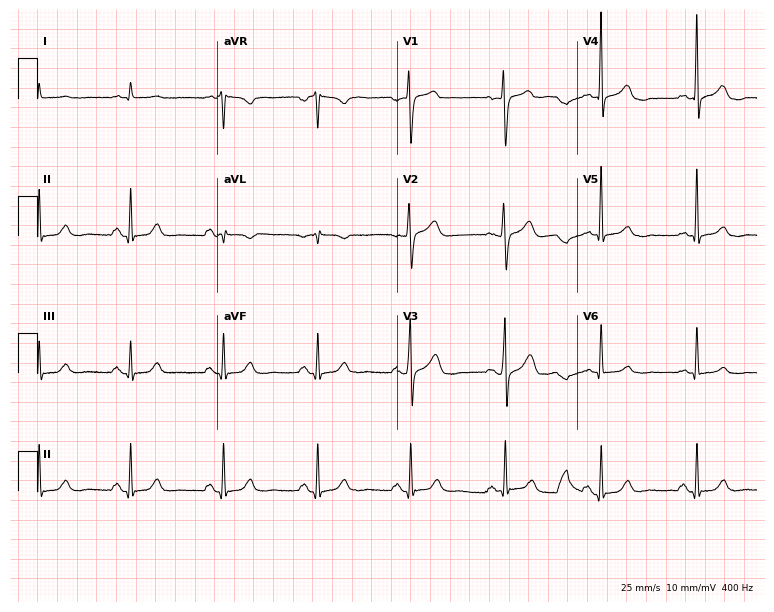
Resting 12-lead electrocardiogram. Patient: a man, 58 years old. Read as a normal ECG.